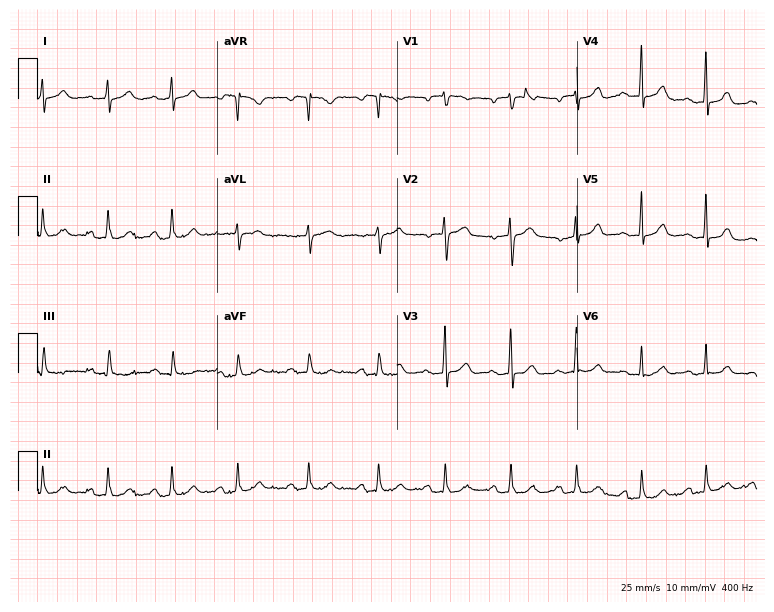
Electrocardiogram (7.3-second recording at 400 Hz), a female patient, 56 years old. Overall reading on record: normal ECG.